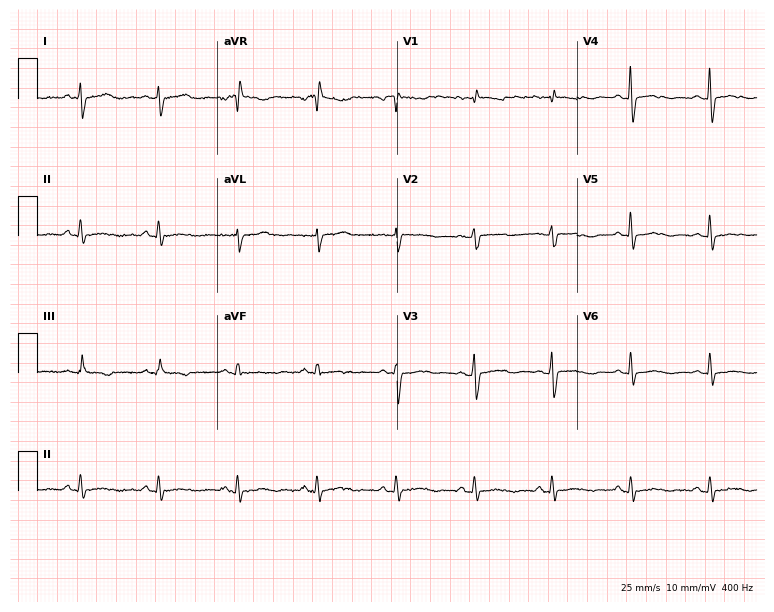
ECG (7.3-second recording at 400 Hz) — a woman, 41 years old. Screened for six findings — first-degree AV block, right bundle branch block, left bundle branch block, sinus bradycardia, atrial fibrillation, sinus tachycardia — none is recorded. Other findings, if any, are not listed.